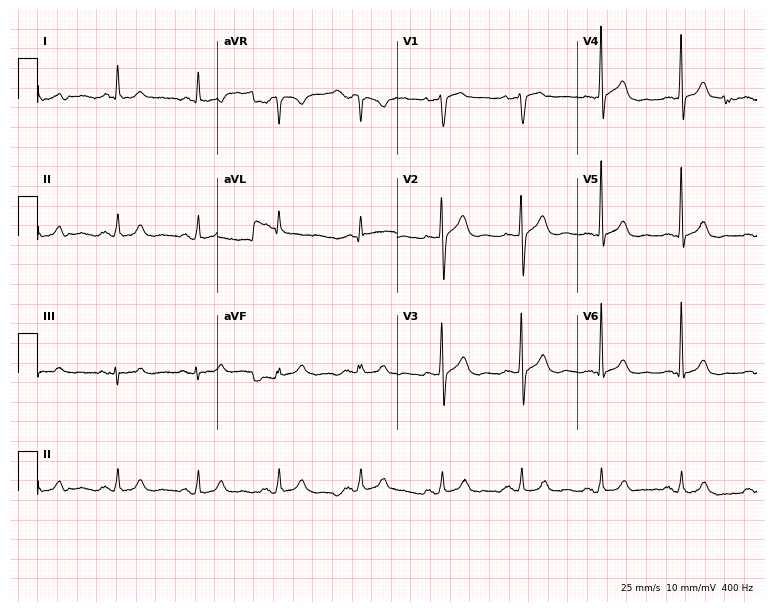
Standard 12-lead ECG recorded from a male patient, 71 years old (7.3-second recording at 400 Hz). Read as a normal ECG.